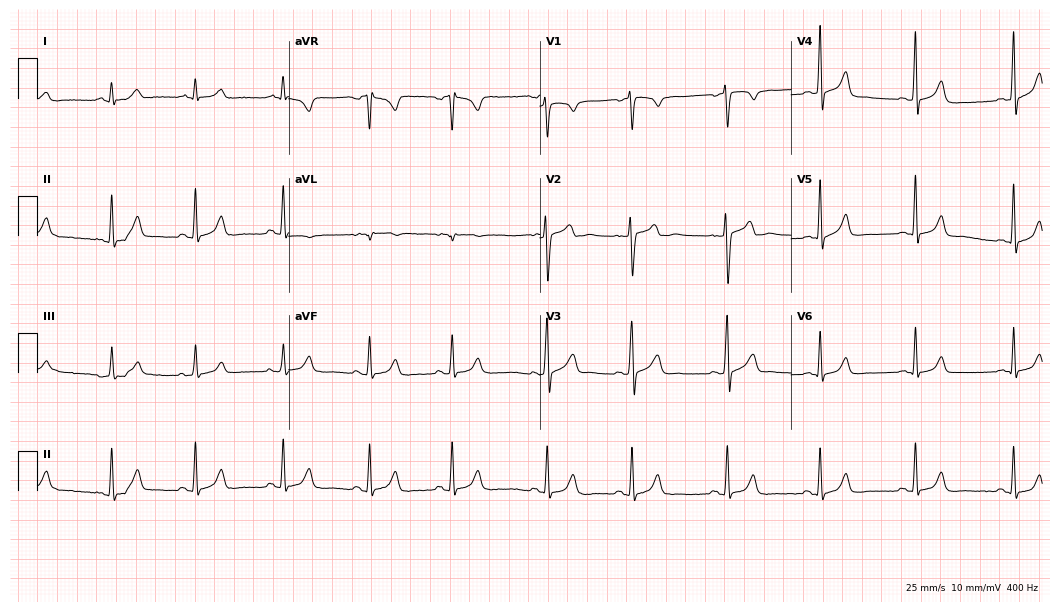
ECG — a man, 24 years old. Labelled as a normal ECG.